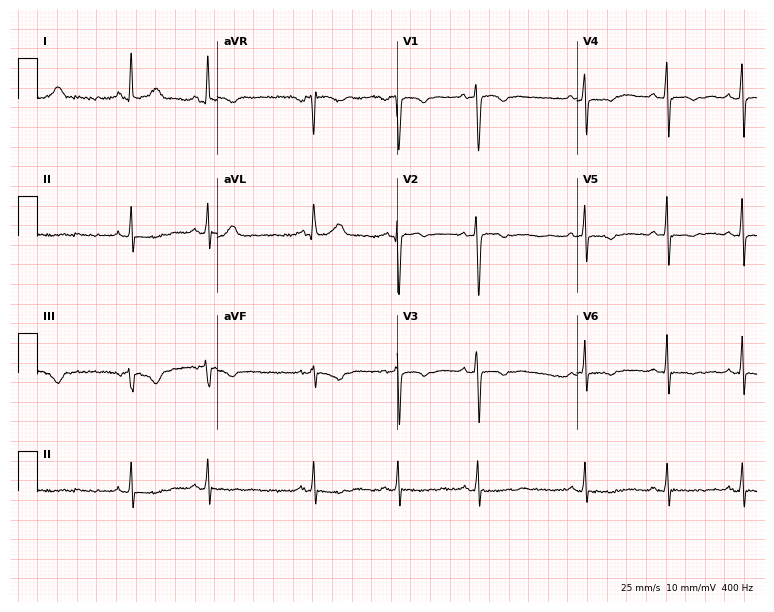
12-lead ECG from a 26-year-old female patient (7.3-second recording at 400 Hz). No first-degree AV block, right bundle branch block, left bundle branch block, sinus bradycardia, atrial fibrillation or sinus tachycardia recorded for this tracing. Findings outside these six are not listed.